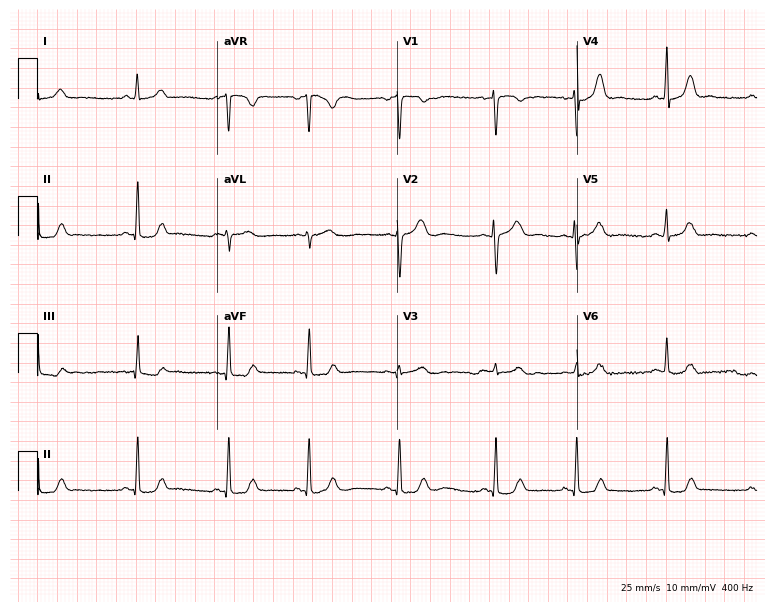
Electrocardiogram (7.3-second recording at 400 Hz), a 33-year-old woman. Overall reading on record: normal ECG.